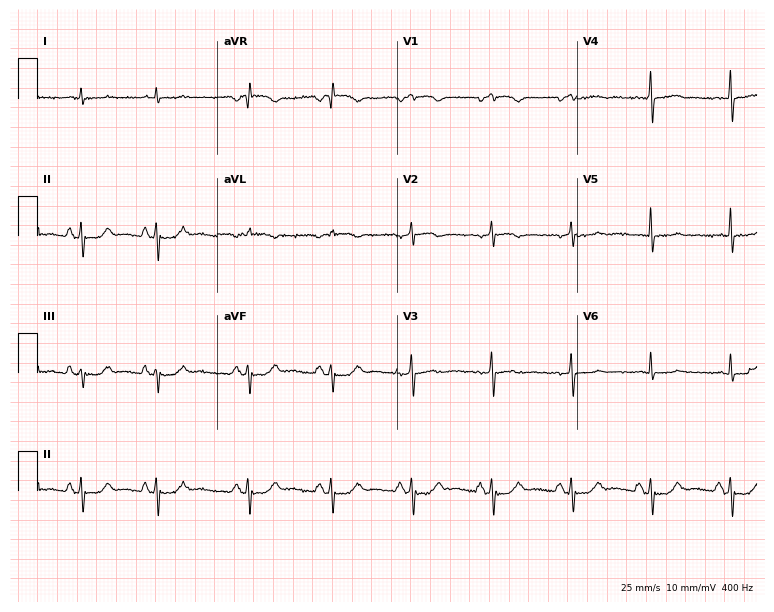
12-lead ECG from a 77-year-old male patient. Screened for six findings — first-degree AV block, right bundle branch block, left bundle branch block, sinus bradycardia, atrial fibrillation, sinus tachycardia — none is recorded. Findings outside these six are not listed.